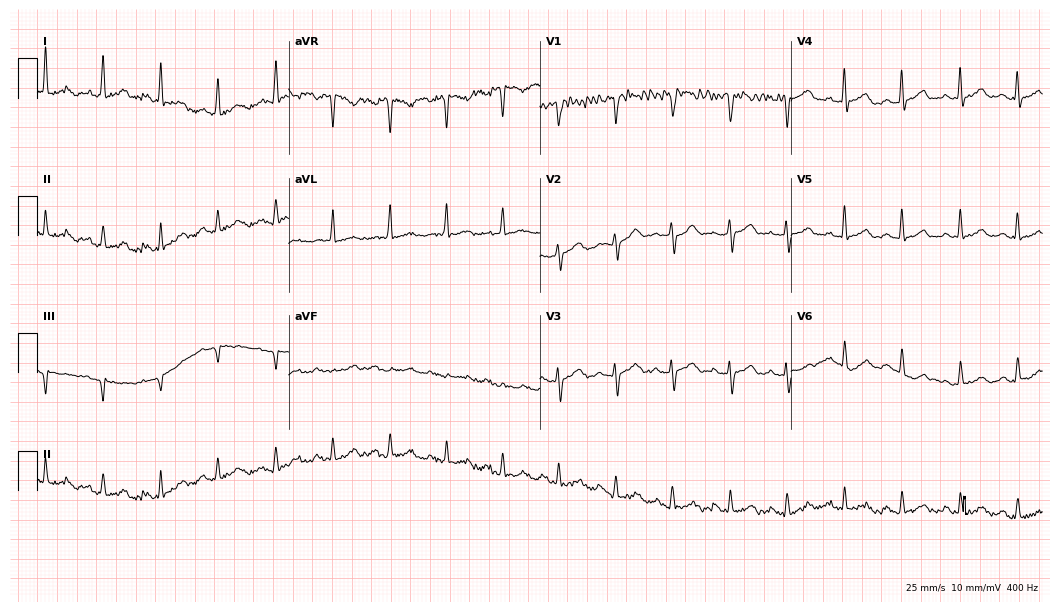
ECG — a 40-year-old woman. Findings include sinus tachycardia (a sinus rate of 100 beats per minute or more).